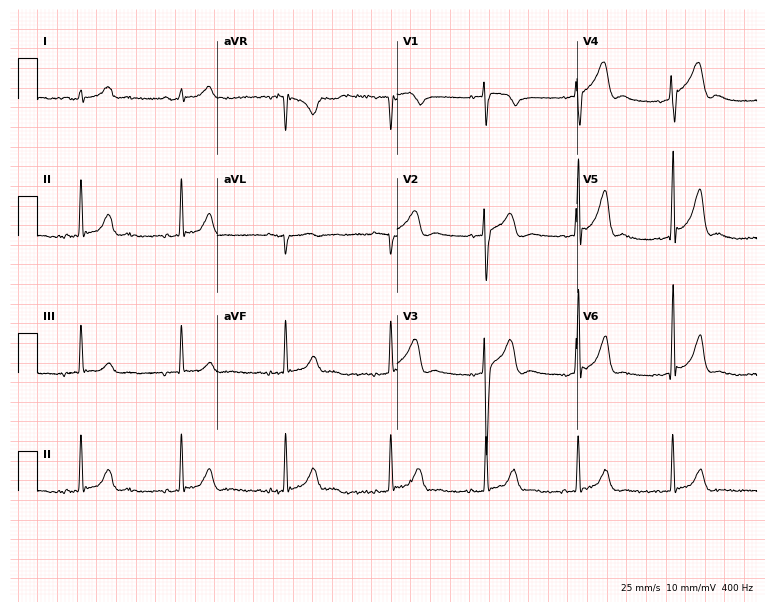
12-lead ECG from a male, 19 years old. No first-degree AV block, right bundle branch block, left bundle branch block, sinus bradycardia, atrial fibrillation or sinus tachycardia recorded for this tracing.